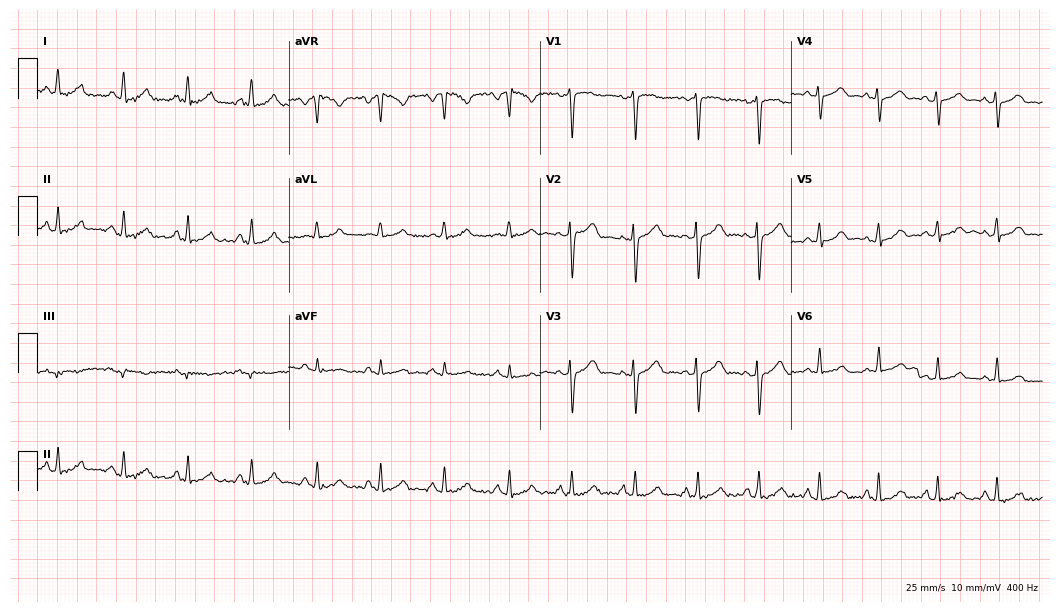
12-lead ECG from a 29-year-old woman (10.2-second recording at 400 Hz). No first-degree AV block, right bundle branch block (RBBB), left bundle branch block (LBBB), sinus bradycardia, atrial fibrillation (AF) or sinus tachycardia recorded for this tracing.